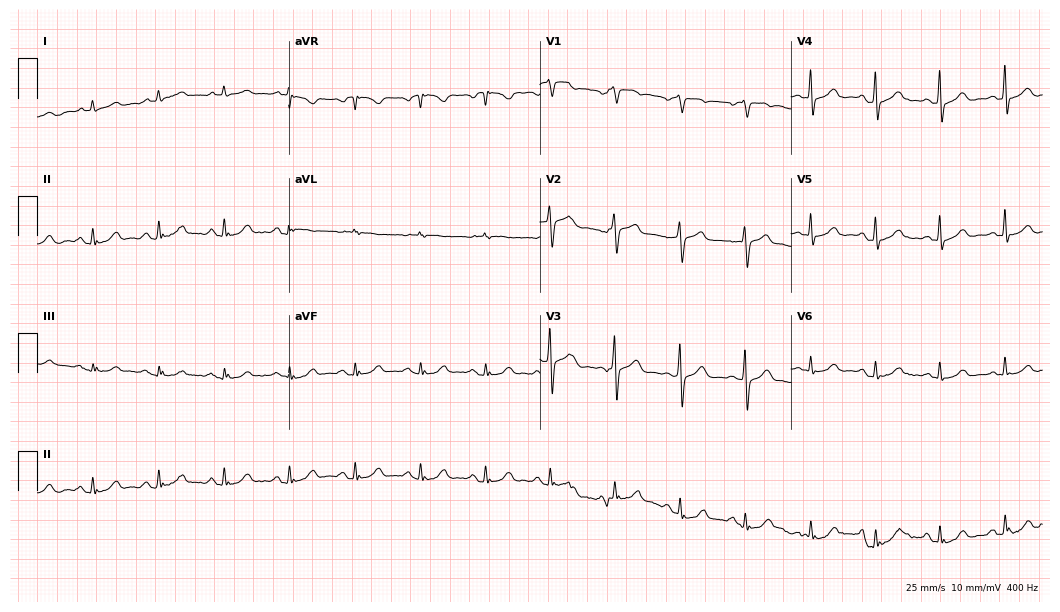
ECG (10.2-second recording at 400 Hz) — a 77-year-old male. Labelled as a normal ECG.